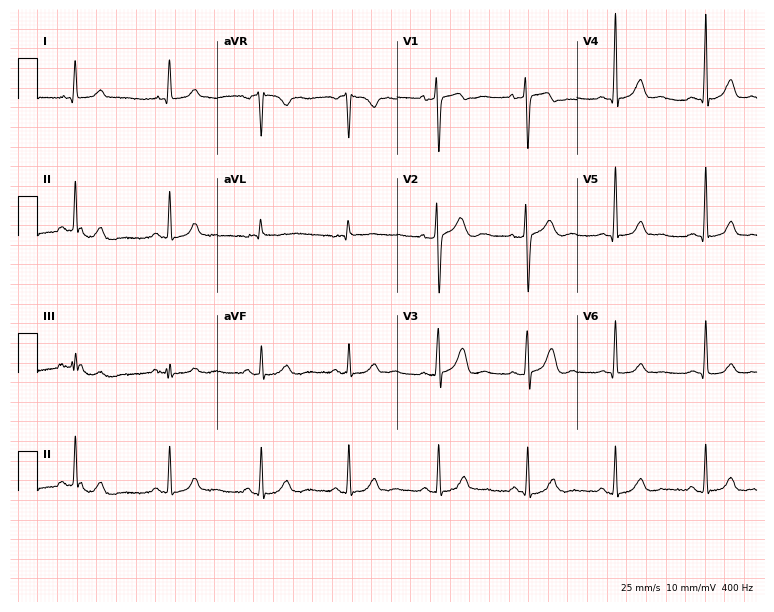
12-lead ECG from a female, 42 years old. Screened for six findings — first-degree AV block, right bundle branch block, left bundle branch block, sinus bradycardia, atrial fibrillation, sinus tachycardia — none is recorded.